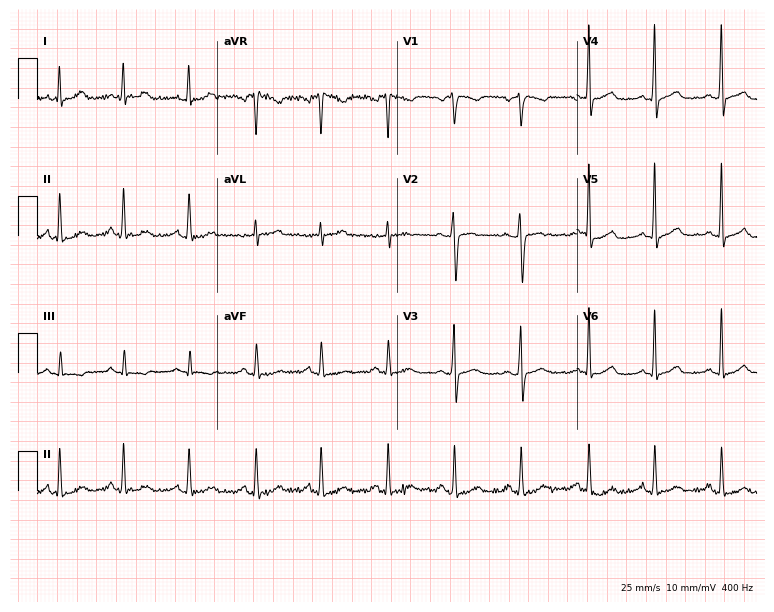
12-lead ECG from a 30-year-old male. Labelled as a normal ECG.